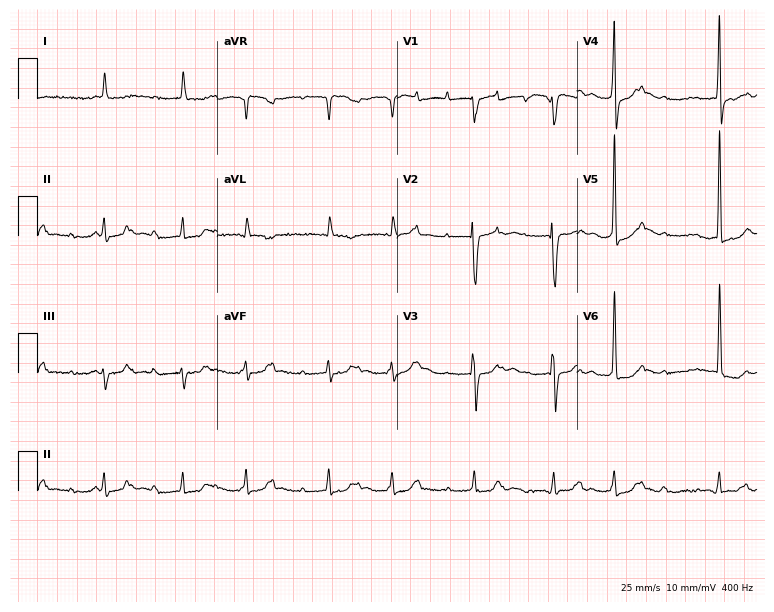
12-lead ECG from an 88-year-old female patient. Shows first-degree AV block, atrial fibrillation (AF).